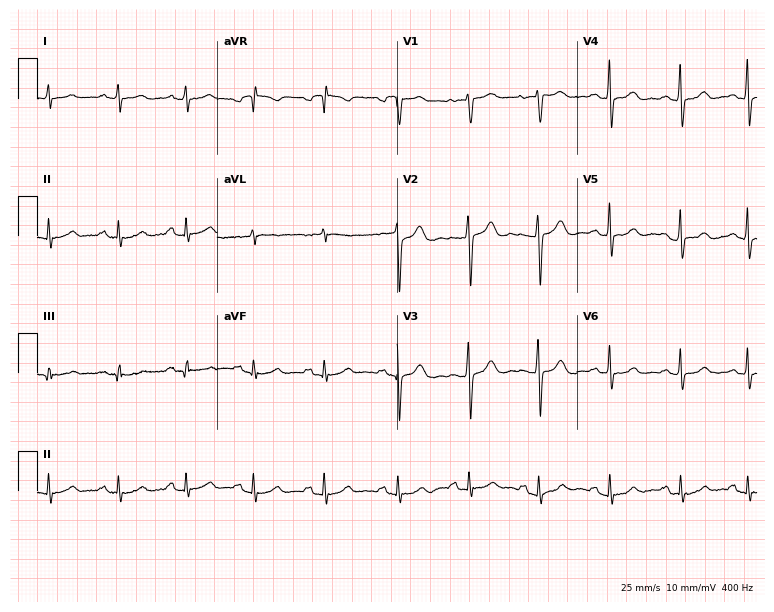
Resting 12-lead electrocardiogram (7.3-second recording at 400 Hz). Patient: a female, 39 years old. Read as a normal ECG.